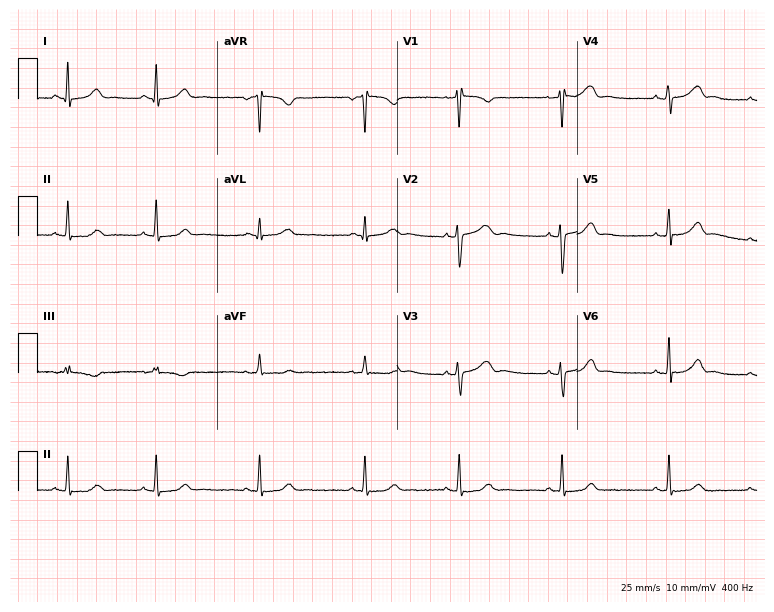
Resting 12-lead electrocardiogram (7.3-second recording at 400 Hz). Patient: a 23-year-old woman. Read as a normal ECG.